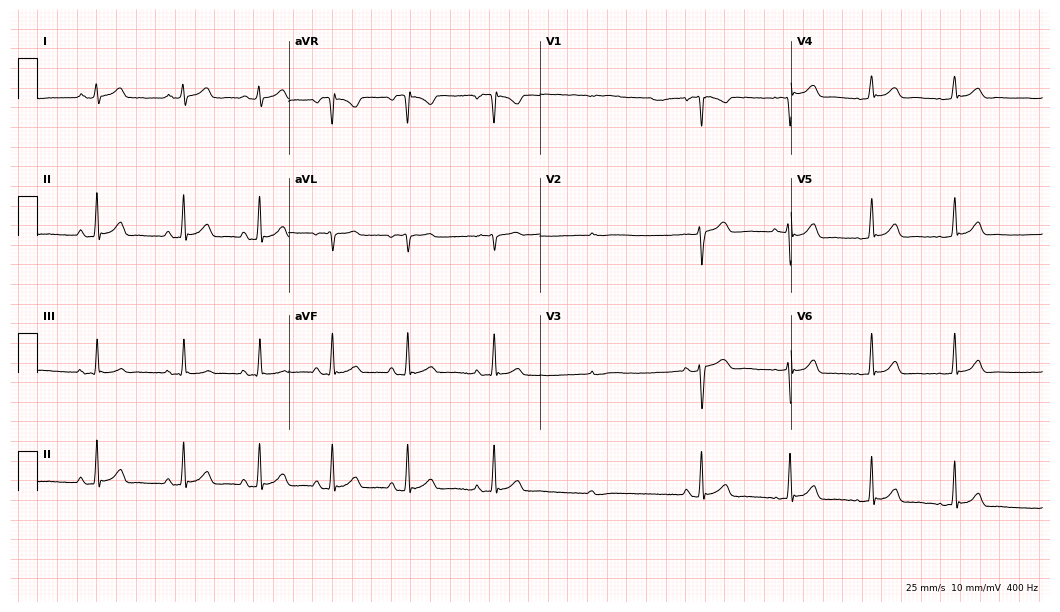
Resting 12-lead electrocardiogram. Patient: a female, 18 years old. None of these six findings is recorded: first-degree AV block, right bundle branch block, left bundle branch block, sinus bradycardia, atrial fibrillation, sinus tachycardia.